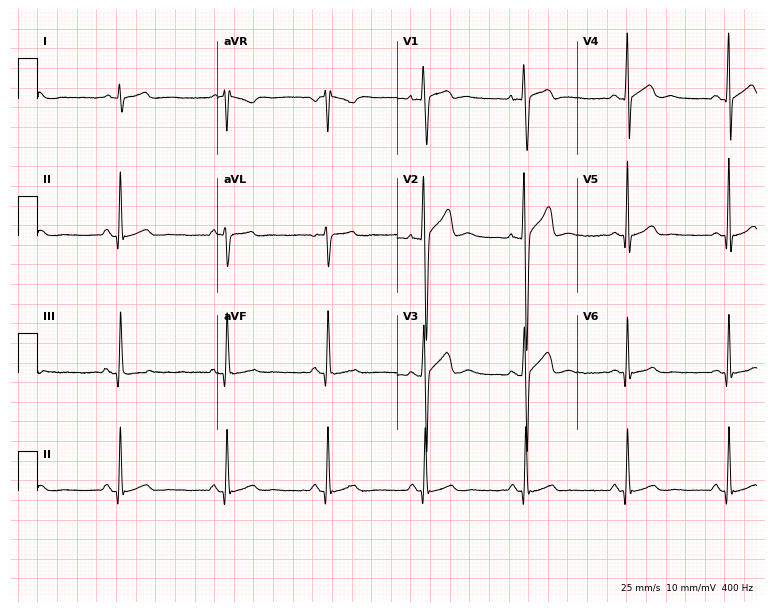
12-lead ECG from a 23-year-old male. No first-degree AV block, right bundle branch block (RBBB), left bundle branch block (LBBB), sinus bradycardia, atrial fibrillation (AF) or sinus tachycardia recorded for this tracing. Findings outside these six are not listed.